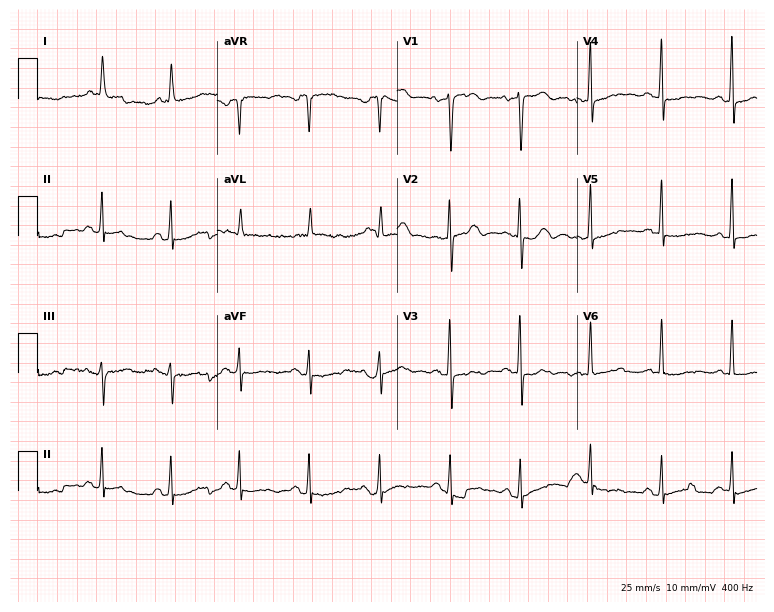
Standard 12-lead ECG recorded from a female, 75 years old. None of these six findings is recorded: first-degree AV block, right bundle branch block, left bundle branch block, sinus bradycardia, atrial fibrillation, sinus tachycardia. Only these six findings were labelled.